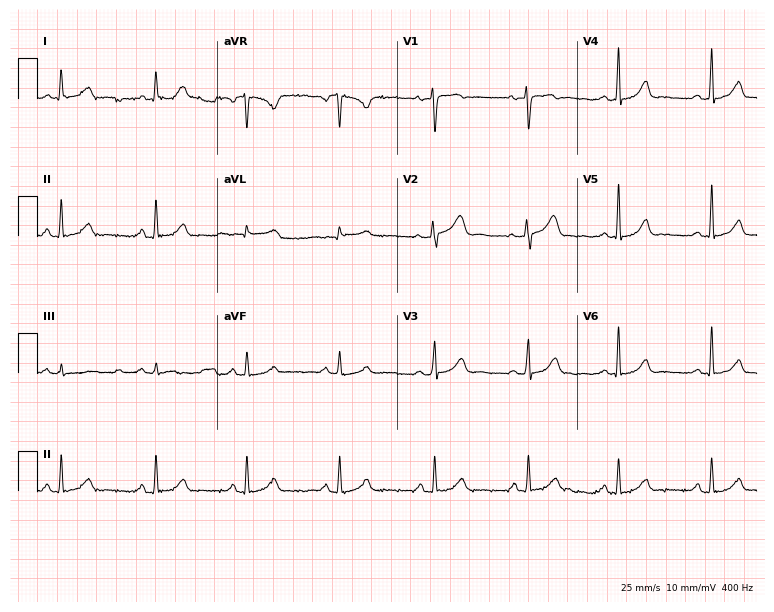
ECG — a female, 46 years old. Labelled as a normal ECG.